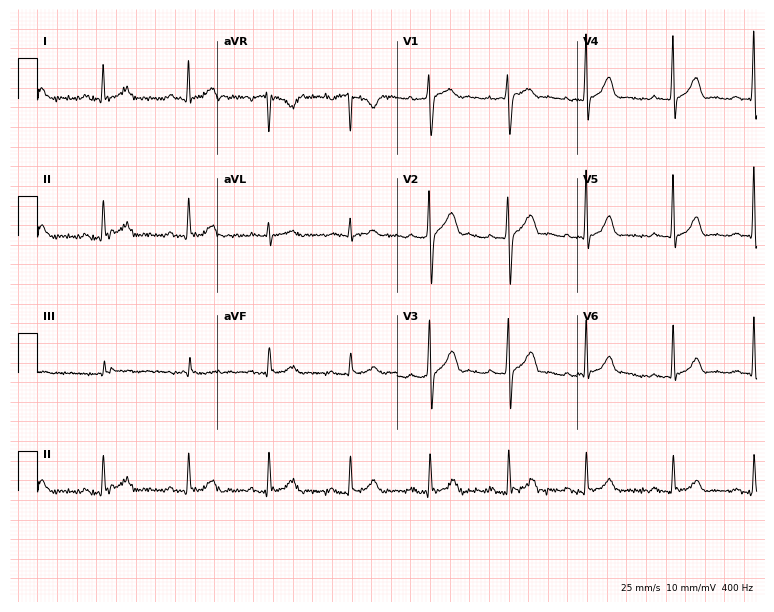
ECG (7.3-second recording at 400 Hz) — a man, 40 years old. Labelled as a normal ECG.